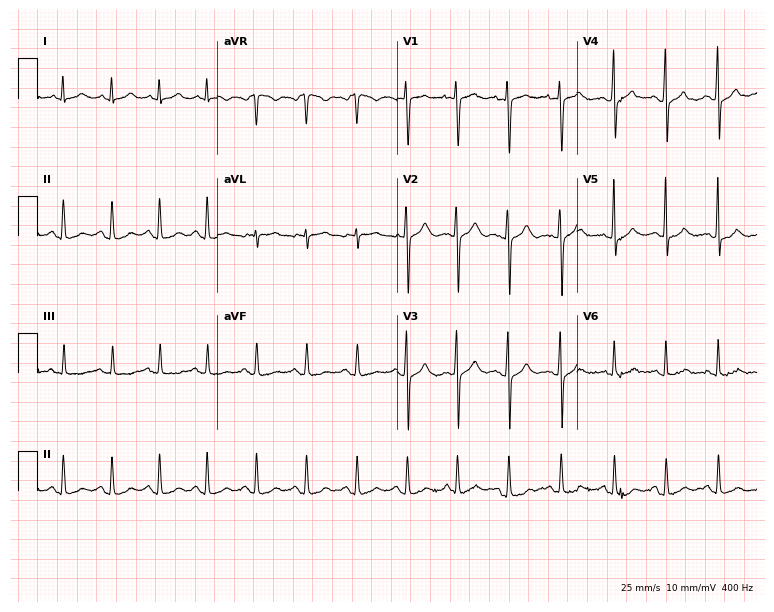
Resting 12-lead electrocardiogram (7.3-second recording at 400 Hz). Patient: a 17-year-old woman. The tracing shows sinus tachycardia (a sinus rate of 100 beats per minute or more).